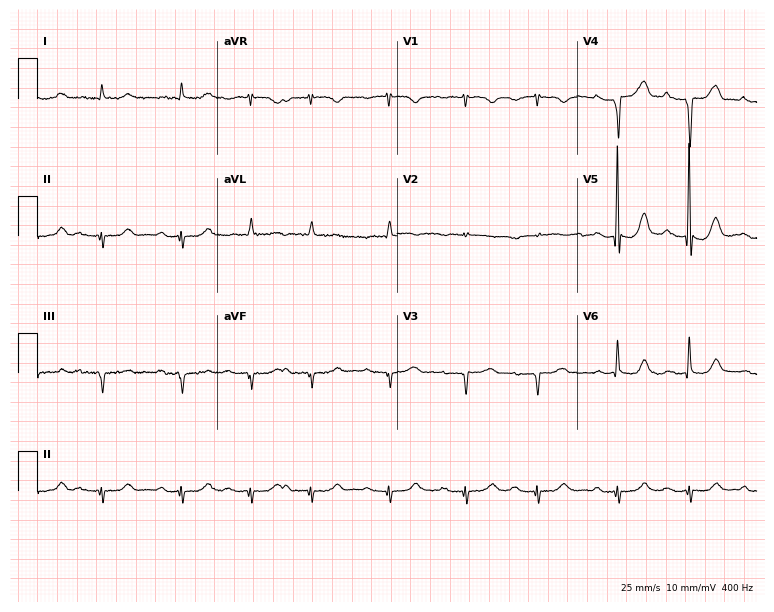
Resting 12-lead electrocardiogram. Patient: a male, 84 years old. The tracing shows first-degree AV block.